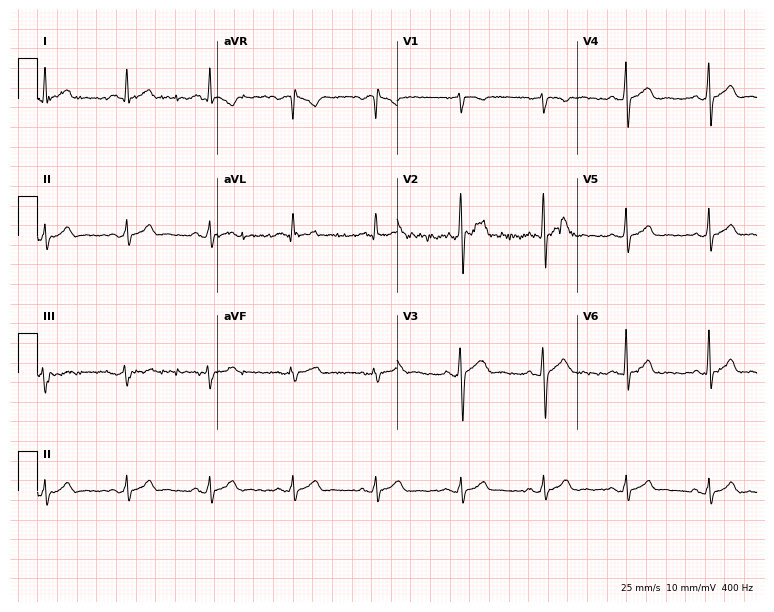
Electrocardiogram, a 51-year-old man. Overall reading on record: normal ECG.